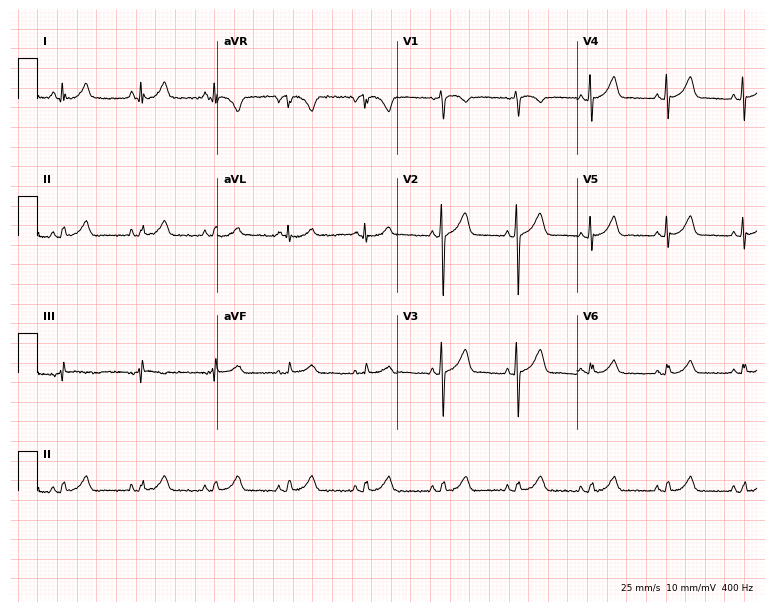
12-lead ECG from a female patient, 39 years old. Screened for six findings — first-degree AV block, right bundle branch block, left bundle branch block, sinus bradycardia, atrial fibrillation, sinus tachycardia — none is recorded. Findings outside these six are not listed.